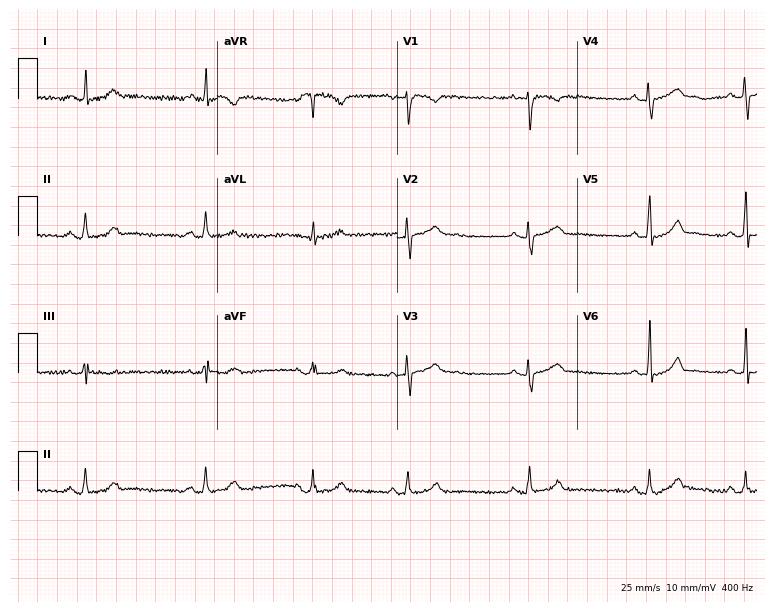
12-lead ECG from a 28-year-old female patient (7.3-second recording at 400 Hz). No first-degree AV block, right bundle branch block (RBBB), left bundle branch block (LBBB), sinus bradycardia, atrial fibrillation (AF) or sinus tachycardia recorded for this tracing.